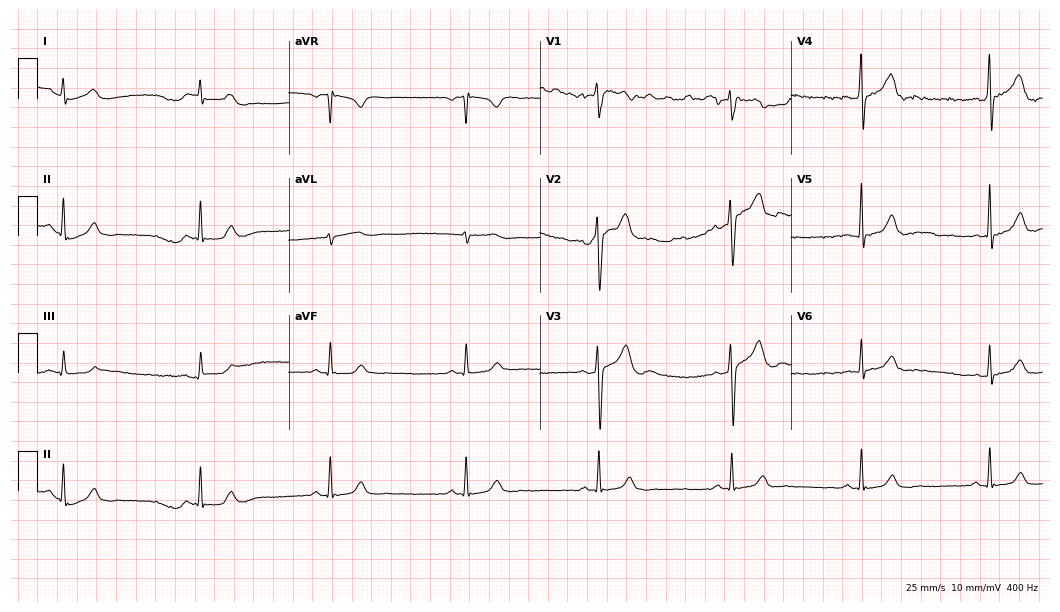
Resting 12-lead electrocardiogram. Patient: a male, 34 years old. The tracing shows sinus bradycardia (a sinus rate of 50 beats per minute or less).